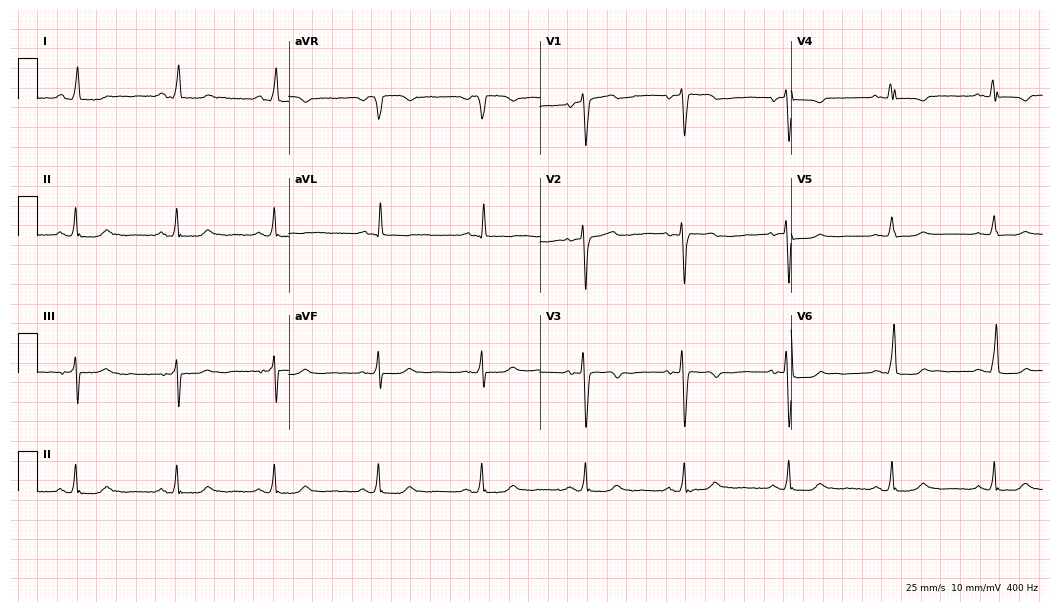
12-lead ECG (10.2-second recording at 400 Hz) from a female patient, 60 years old. Labelled as a normal ECG.